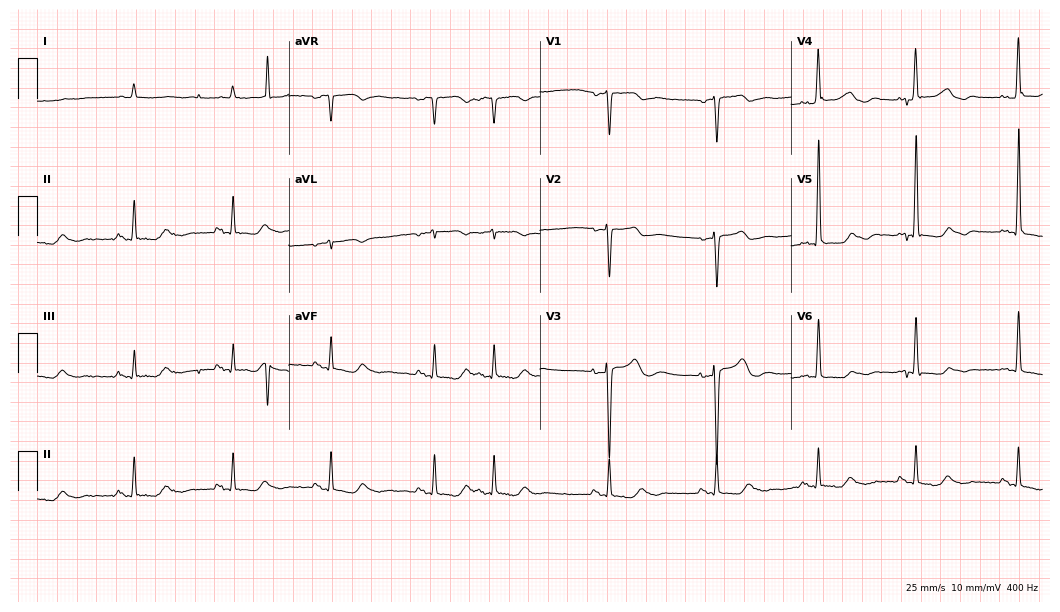
ECG (10.2-second recording at 400 Hz) — a woman, 81 years old. Screened for six findings — first-degree AV block, right bundle branch block, left bundle branch block, sinus bradycardia, atrial fibrillation, sinus tachycardia — none is recorded. Other findings, if any, are not listed.